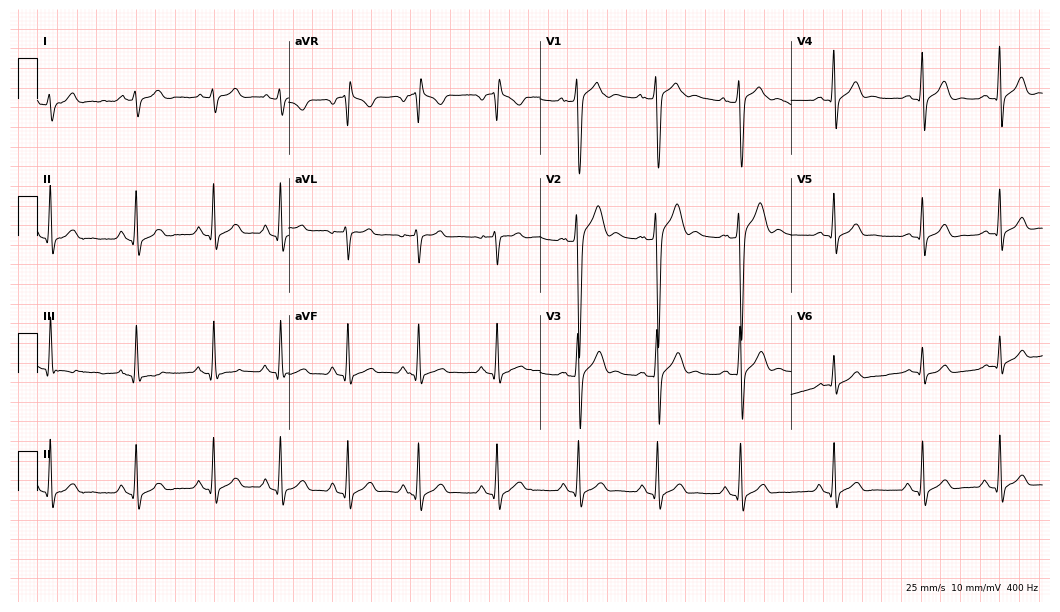
12-lead ECG from a male patient, 17 years old. No first-degree AV block, right bundle branch block (RBBB), left bundle branch block (LBBB), sinus bradycardia, atrial fibrillation (AF) or sinus tachycardia recorded for this tracing. Findings outside these six are not listed.